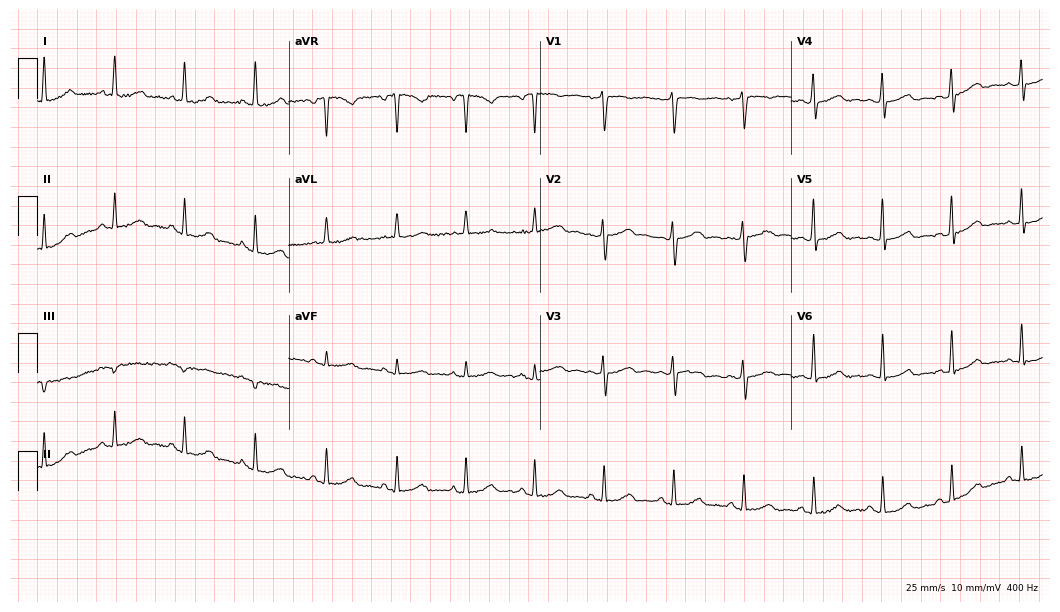
Standard 12-lead ECG recorded from a female, 47 years old. Read as a normal ECG.